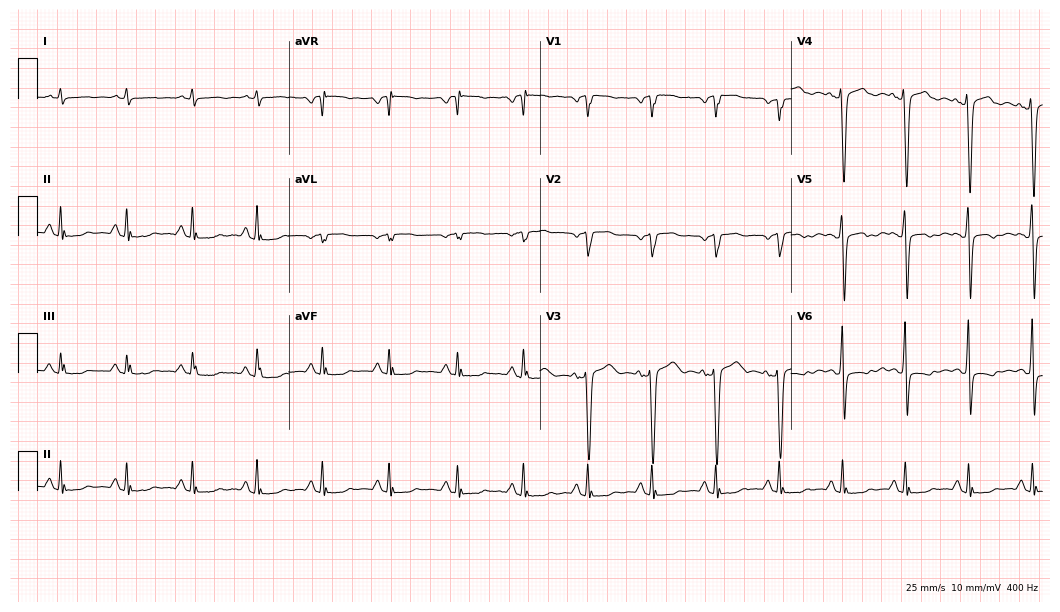
ECG — a woman, 48 years old. Screened for six findings — first-degree AV block, right bundle branch block, left bundle branch block, sinus bradycardia, atrial fibrillation, sinus tachycardia — none is recorded.